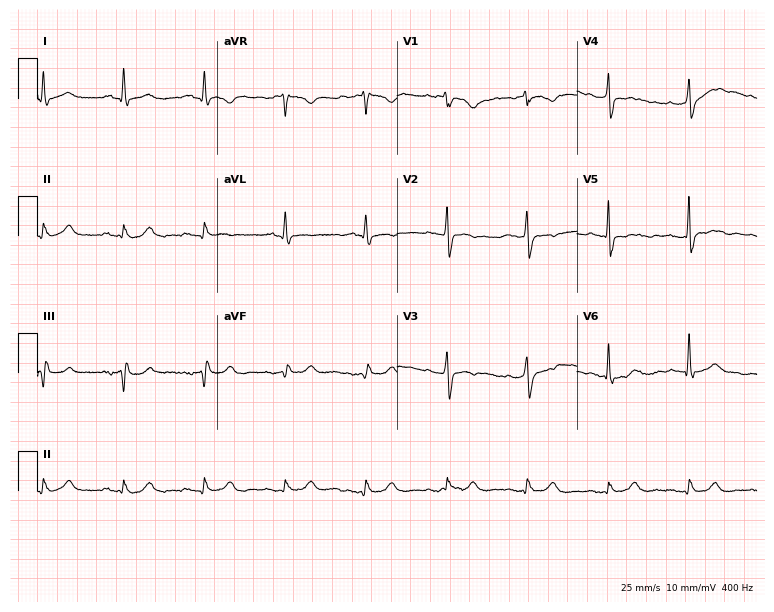
Resting 12-lead electrocardiogram. Patient: a man, 78 years old. None of these six findings is recorded: first-degree AV block, right bundle branch block, left bundle branch block, sinus bradycardia, atrial fibrillation, sinus tachycardia.